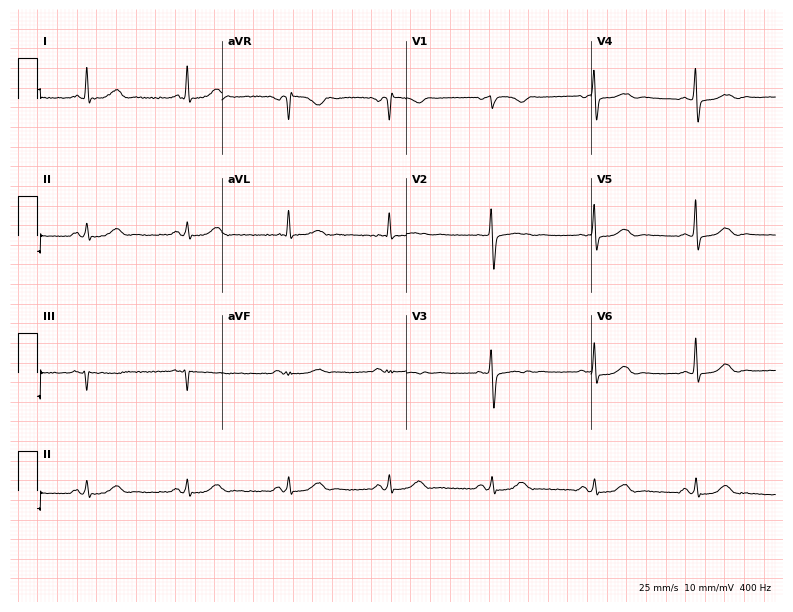
12-lead ECG from a woman, 67 years old. Recorded interpretation: within normal limits.